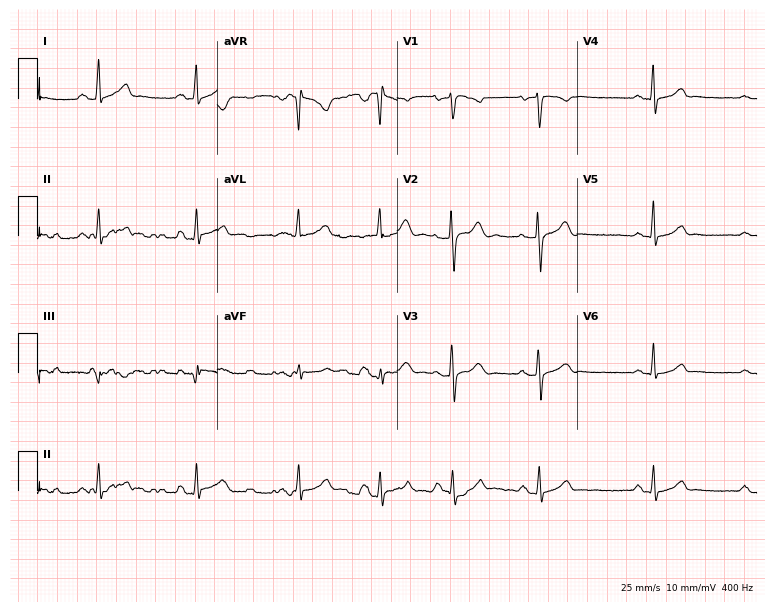
Standard 12-lead ECG recorded from a woman, 31 years old. None of these six findings is recorded: first-degree AV block, right bundle branch block (RBBB), left bundle branch block (LBBB), sinus bradycardia, atrial fibrillation (AF), sinus tachycardia. Only these six findings were labelled.